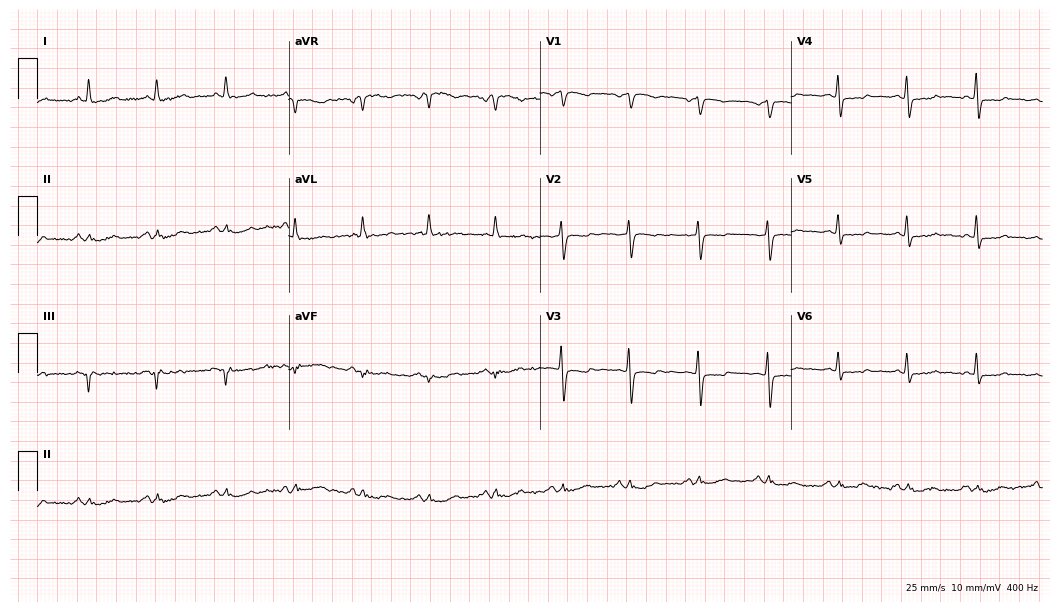
Standard 12-lead ECG recorded from a female patient, 48 years old. None of these six findings is recorded: first-degree AV block, right bundle branch block, left bundle branch block, sinus bradycardia, atrial fibrillation, sinus tachycardia. Findings outside these six are not listed.